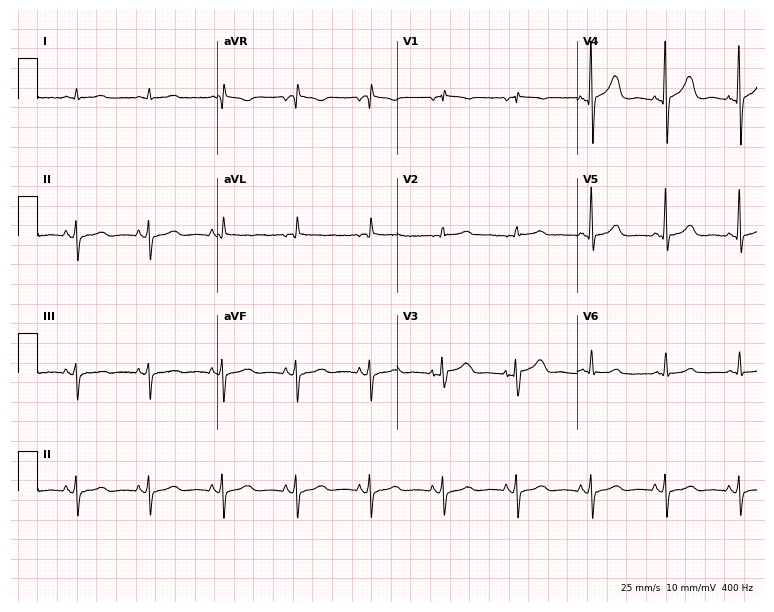
12-lead ECG from a male, 65 years old (7.3-second recording at 400 Hz). No first-degree AV block, right bundle branch block, left bundle branch block, sinus bradycardia, atrial fibrillation or sinus tachycardia recorded for this tracing. Other findings, if any, are not listed.